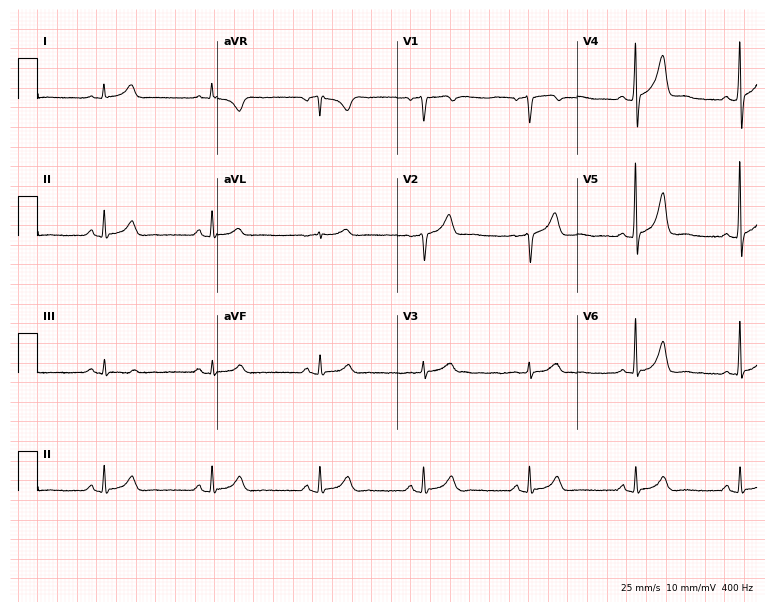
12-lead ECG from a 46-year-old male patient (7.3-second recording at 400 Hz). Recorded interpretation: within normal limits.